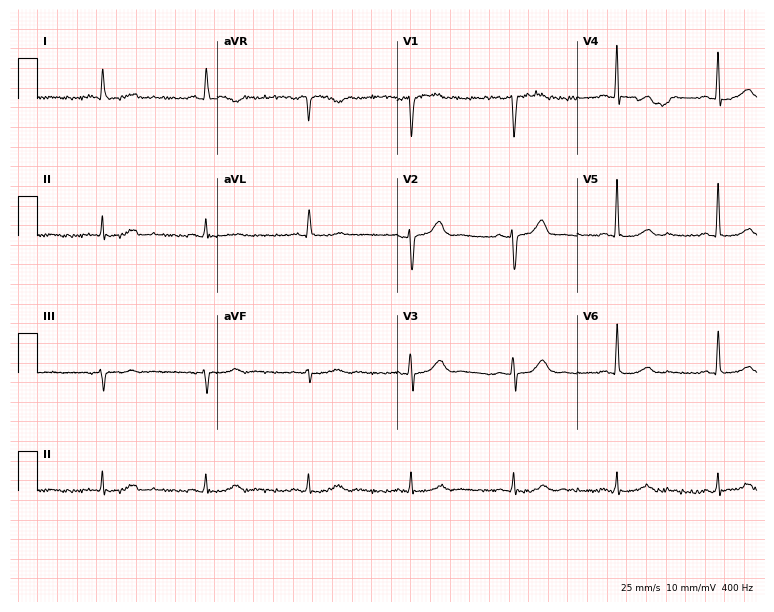
Electrocardiogram (7.3-second recording at 400 Hz), a male, 77 years old. Of the six screened findings (first-degree AV block, right bundle branch block, left bundle branch block, sinus bradycardia, atrial fibrillation, sinus tachycardia), none is recorded. Only these six findings were labelled.